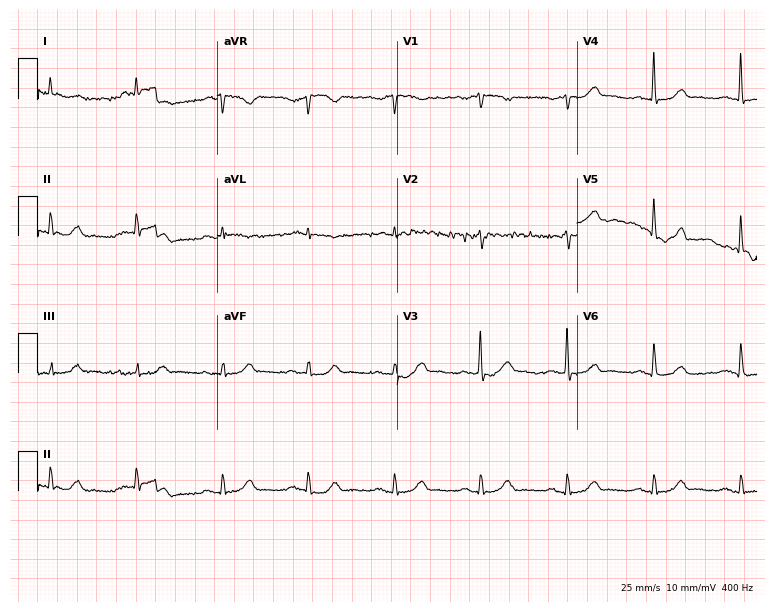
12-lead ECG from a male patient, 81 years old. Screened for six findings — first-degree AV block, right bundle branch block (RBBB), left bundle branch block (LBBB), sinus bradycardia, atrial fibrillation (AF), sinus tachycardia — none is recorded. Only these six findings were labelled.